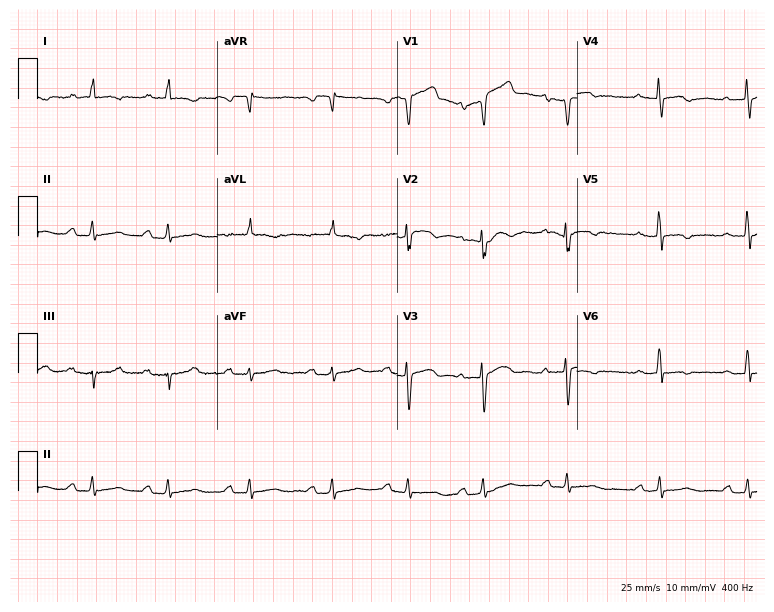
Resting 12-lead electrocardiogram (7.3-second recording at 400 Hz). Patient: a male, 69 years old. None of these six findings is recorded: first-degree AV block, right bundle branch block (RBBB), left bundle branch block (LBBB), sinus bradycardia, atrial fibrillation (AF), sinus tachycardia.